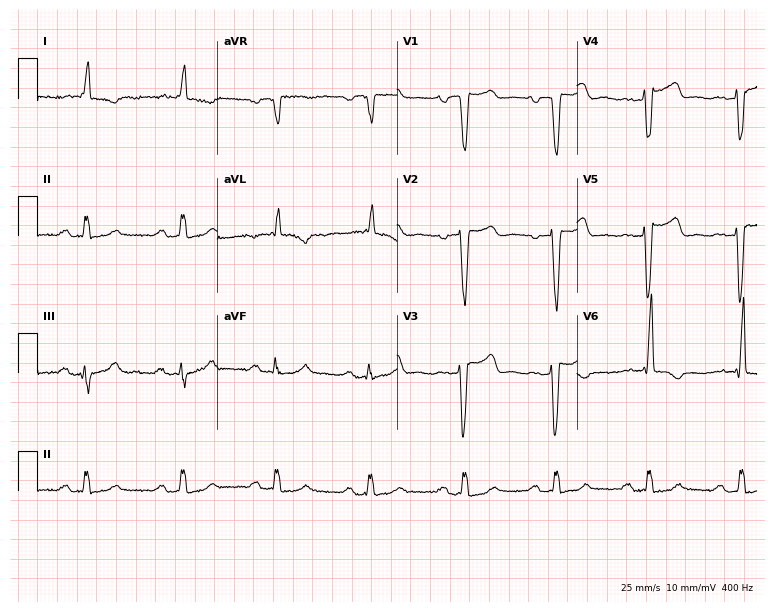
12-lead ECG (7.3-second recording at 400 Hz) from a male, 78 years old. Findings include left bundle branch block.